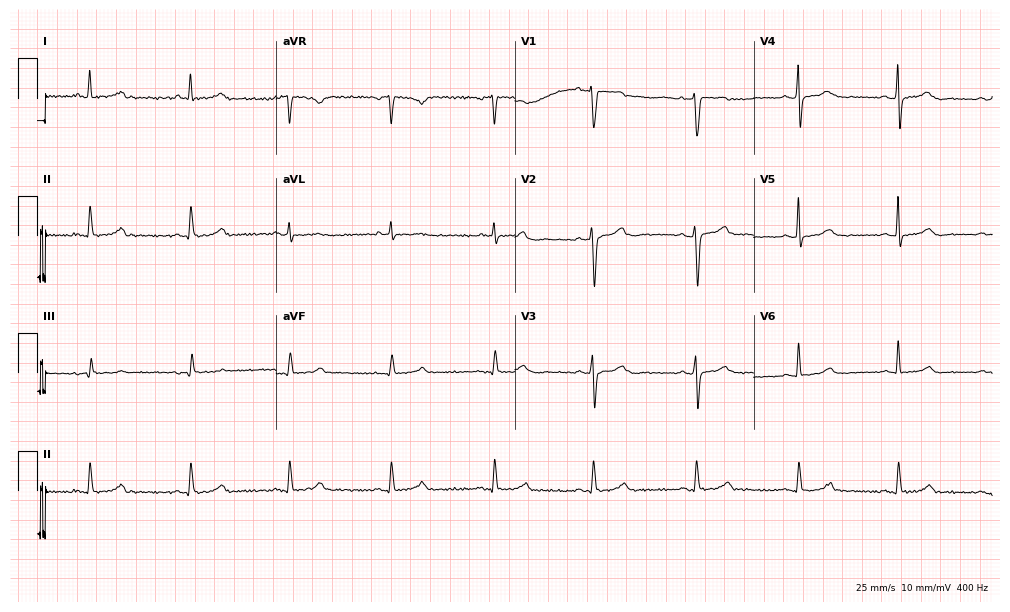
12-lead ECG from a woman, 52 years old. Recorded interpretation: within normal limits.